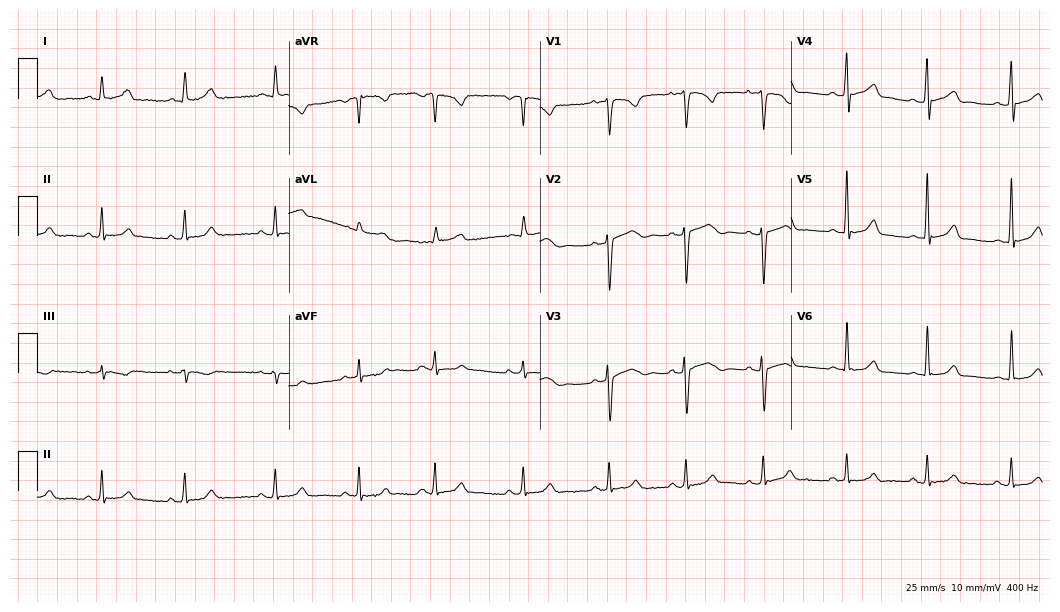
Resting 12-lead electrocardiogram (10.2-second recording at 400 Hz). Patient: a 33-year-old female. None of these six findings is recorded: first-degree AV block, right bundle branch block, left bundle branch block, sinus bradycardia, atrial fibrillation, sinus tachycardia. Only these six findings were labelled.